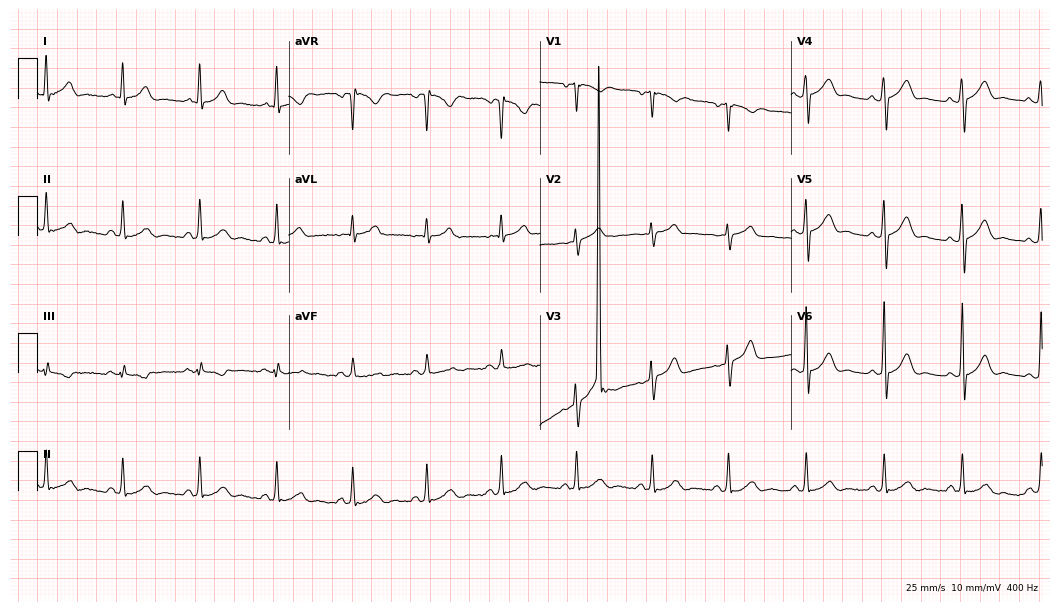
12-lead ECG from a 44-year-old male patient (10.2-second recording at 400 Hz). No first-degree AV block, right bundle branch block, left bundle branch block, sinus bradycardia, atrial fibrillation or sinus tachycardia recorded for this tracing.